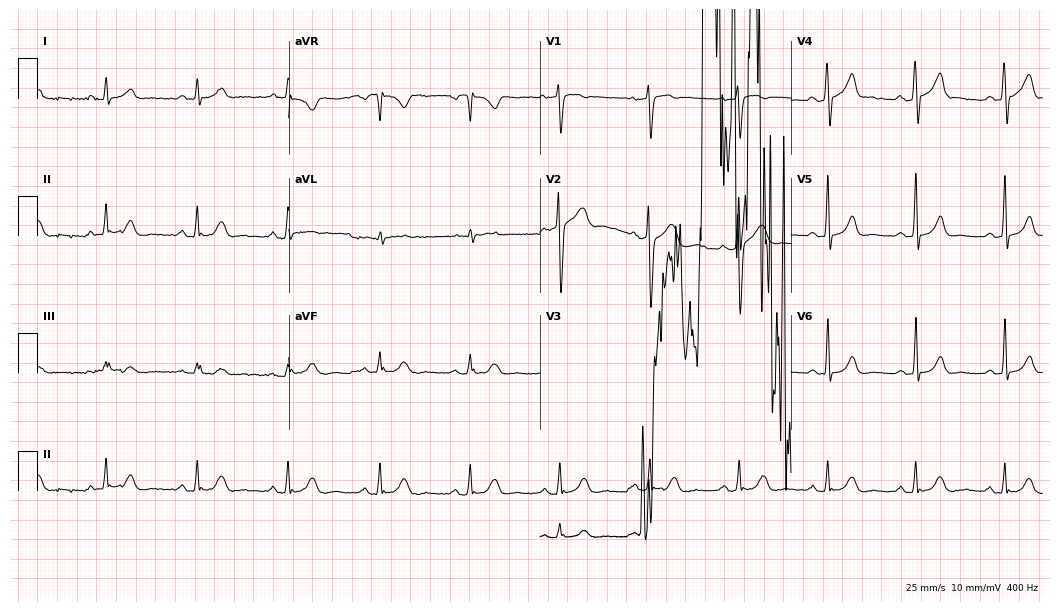
Electrocardiogram, a male patient, 67 years old. Of the six screened findings (first-degree AV block, right bundle branch block, left bundle branch block, sinus bradycardia, atrial fibrillation, sinus tachycardia), none is recorded.